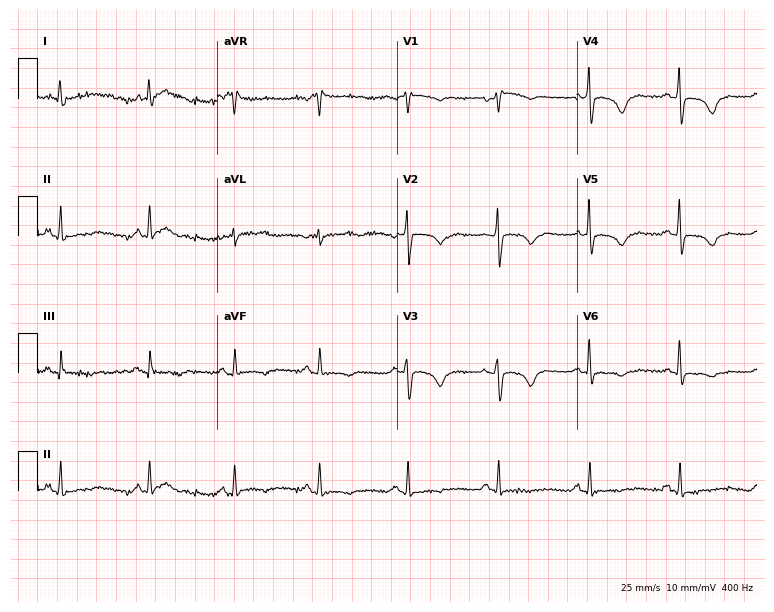
Electrocardiogram, a 48-year-old female patient. Of the six screened findings (first-degree AV block, right bundle branch block (RBBB), left bundle branch block (LBBB), sinus bradycardia, atrial fibrillation (AF), sinus tachycardia), none is recorded.